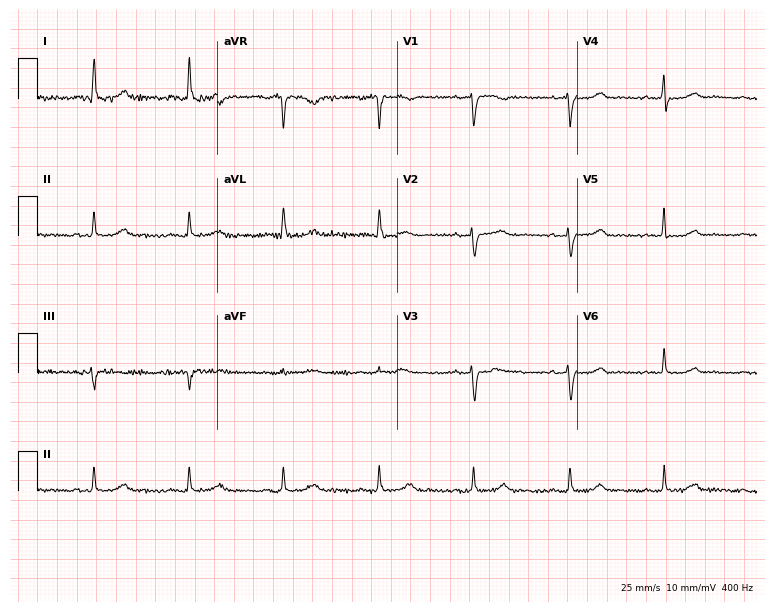
Electrocardiogram (7.3-second recording at 400 Hz), a 72-year-old woman. Overall reading on record: normal ECG.